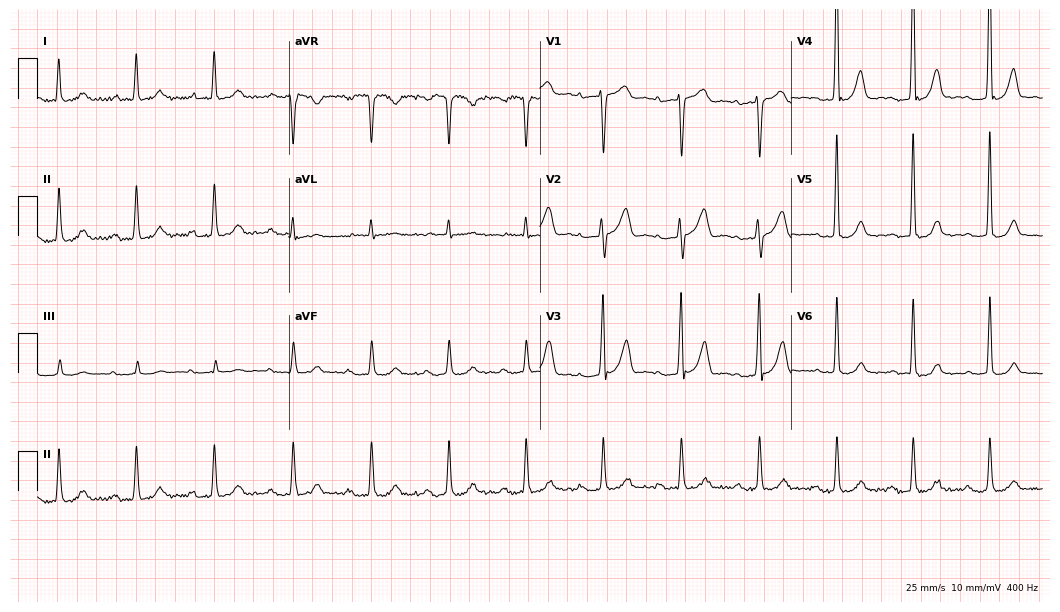
12-lead ECG from a woman, 66 years old. Shows first-degree AV block.